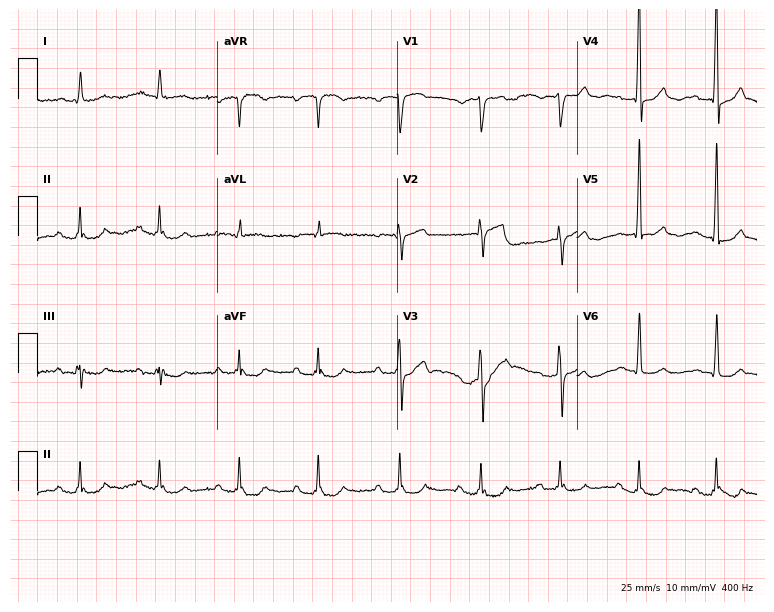
Standard 12-lead ECG recorded from a 75-year-old male. The tracing shows first-degree AV block.